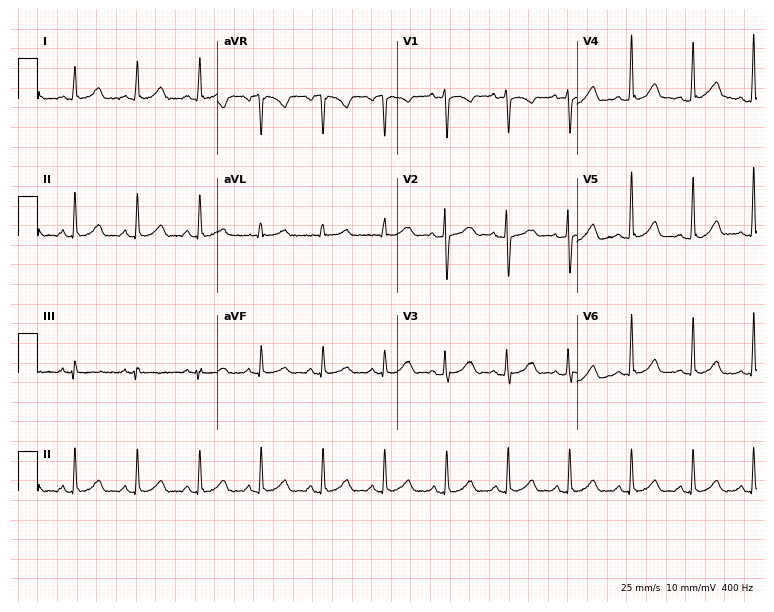
Standard 12-lead ECG recorded from a female, 30 years old (7.3-second recording at 400 Hz). None of these six findings is recorded: first-degree AV block, right bundle branch block, left bundle branch block, sinus bradycardia, atrial fibrillation, sinus tachycardia. Findings outside these six are not listed.